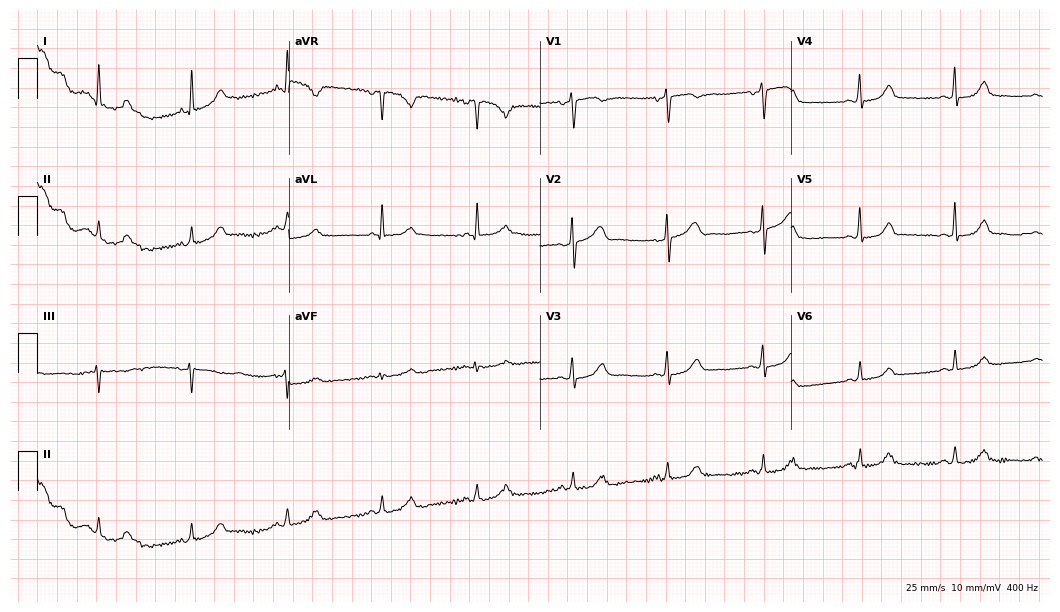
ECG (10.2-second recording at 400 Hz) — a female, 59 years old. Screened for six findings — first-degree AV block, right bundle branch block, left bundle branch block, sinus bradycardia, atrial fibrillation, sinus tachycardia — none is recorded. Only these six findings were labelled.